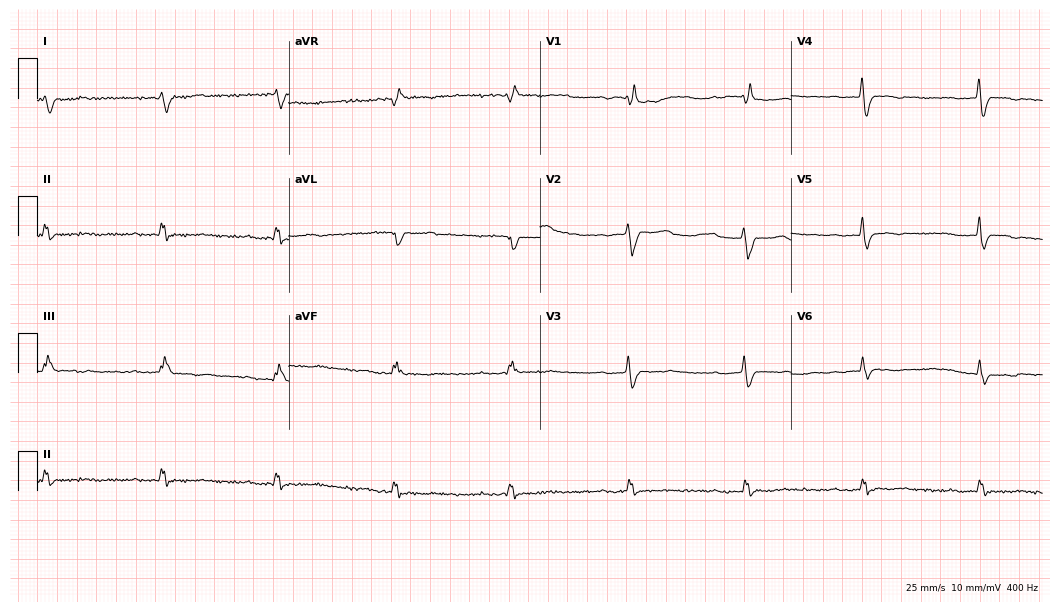
Electrocardiogram (10.2-second recording at 400 Hz), a 66-year-old female. Of the six screened findings (first-degree AV block, right bundle branch block, left bundle branch block, sinus bradycardia, atrial fibrillation, sinus tachycardia), none is recorded.